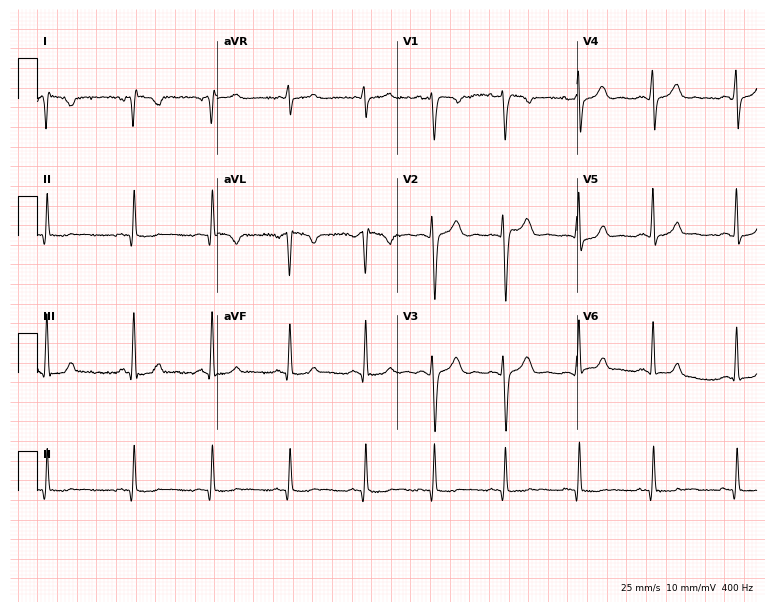
ECG (7.3-second recording at 400 Hz) — a 21-year-old female patient. Screened for six findings — first-degree AV block, right bundle branch block (RBBB), left bundle branch block (LBBB), sinus bradycardia, atrial fibrillation (AF), sinus tachycardia — none is recorded. Other findings, if any, are not listed.